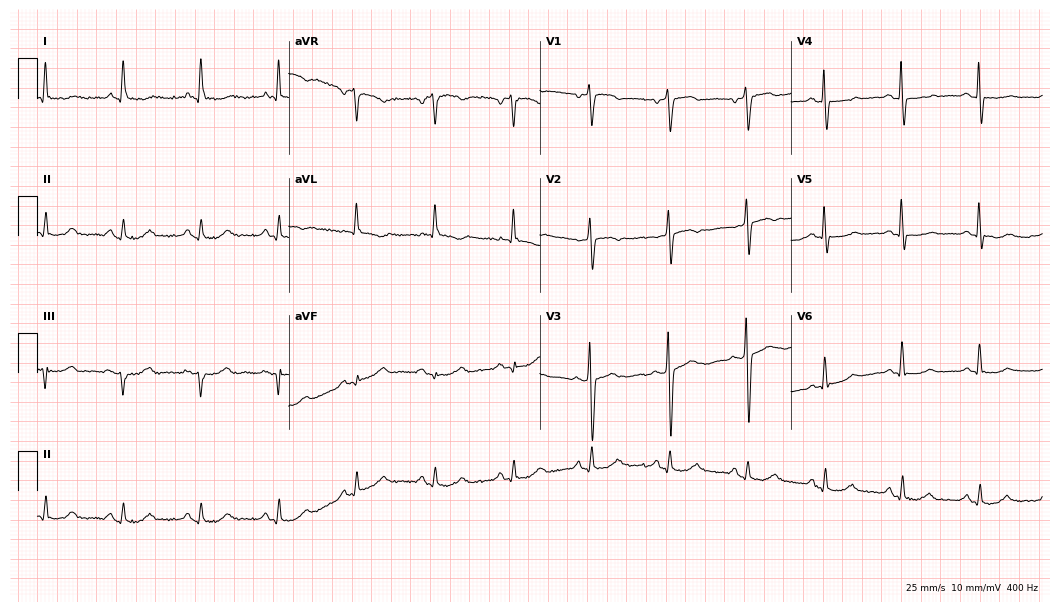
Electrocardiogram (10.2-second recording at 400 Hz), a woman, 70 years old. Overall reading on record: normal ECG.